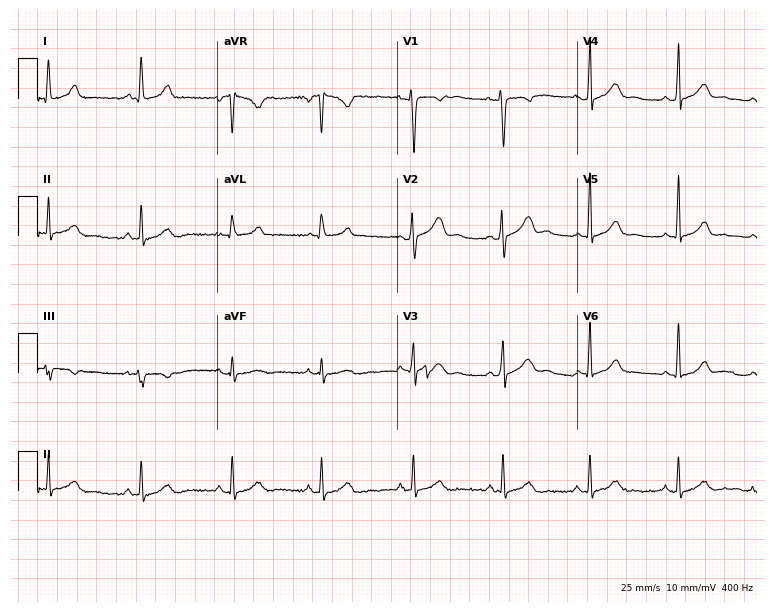
ECG — a 36-year-old woman. Labelled as a normal ECG.